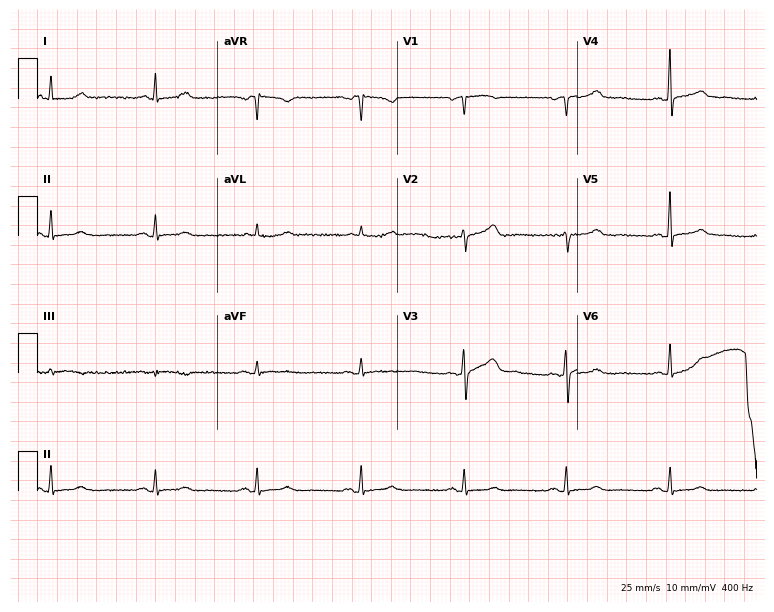
Electrocardiogram, a female, 74 years old. Overall reading on record: normal ECG.